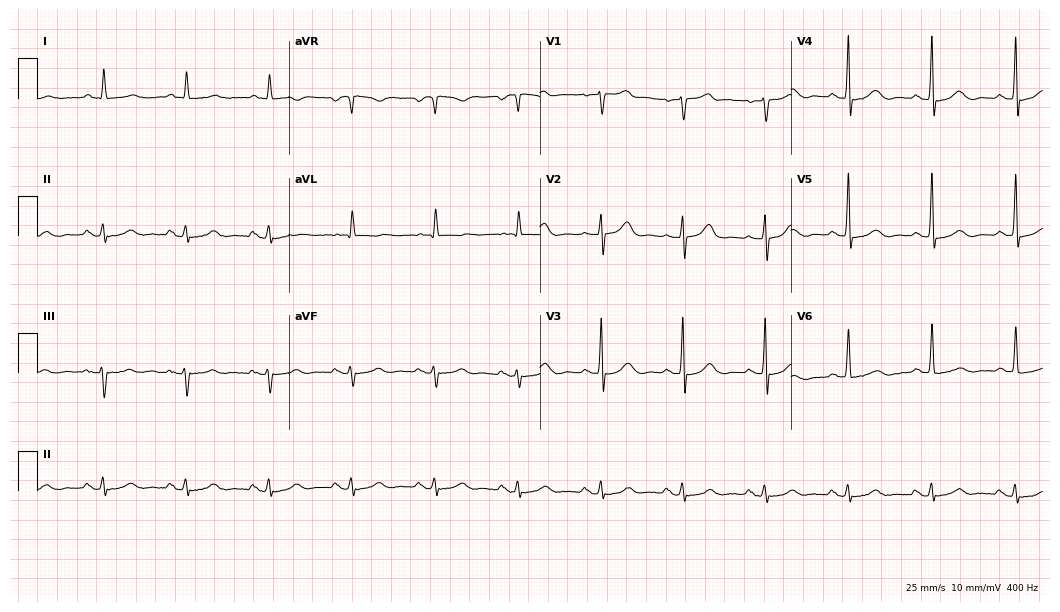
ECG (10.2-second recording at 400 Hz) — a male patient, 82 years old. Screened for six findings — first-degree AV block, right bundle branch block (RBBB), left bundle branch block (LBBB), sinus bradycardia, atrial fibrillation (AF), sinus tachycardia — none is recorded. Findings outside these six are not listed.